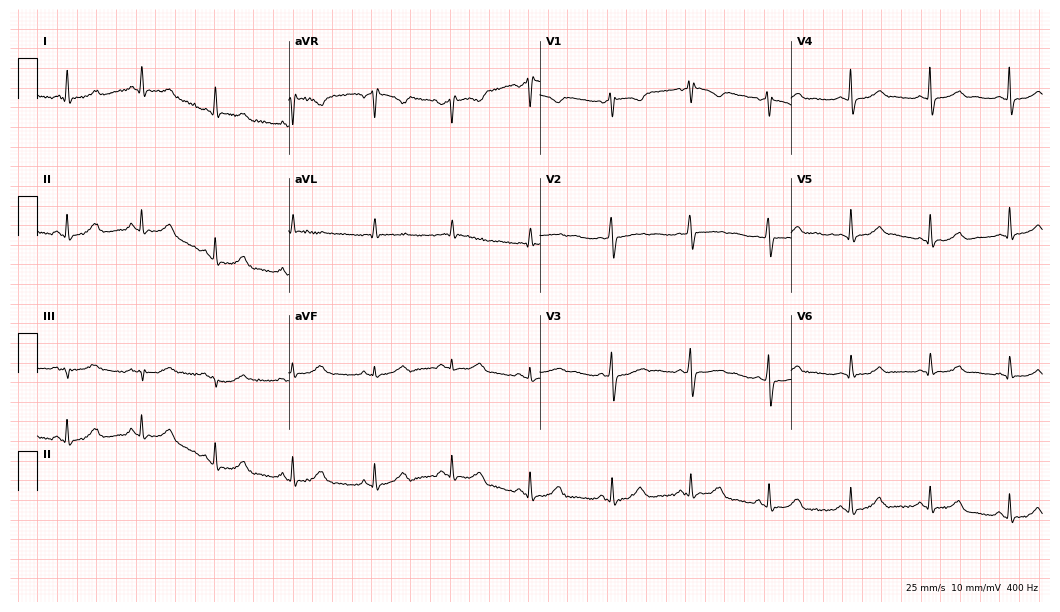
Standard 12-lead ECG recorded from a 41-year-old female patient (10.2-second recording at 400 Hz). None of these six findings is recorded: first-degree AV block, right bundle branch block (RBBB), left bundle branch block (LBBB), sinus bradycardia, atrial fibrillation (AF), sinus tachycardia.